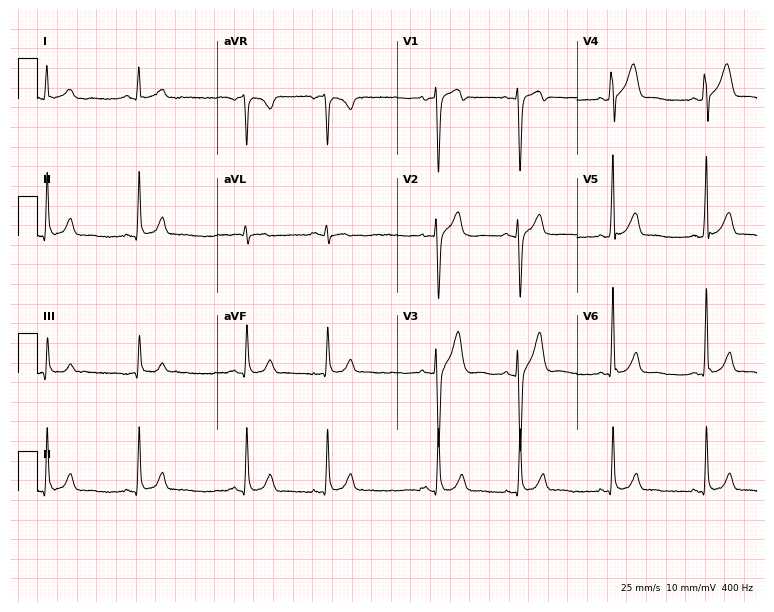
12-lead ECG (7.3-second recording at 400 Hz) from a male, 39 years old. Screened for six findings — first-degree AV block, right bundle branch block, left bundle branch block, sinus bradycardia, atrial fibrillation, sinus tachycardia — none is recorded.